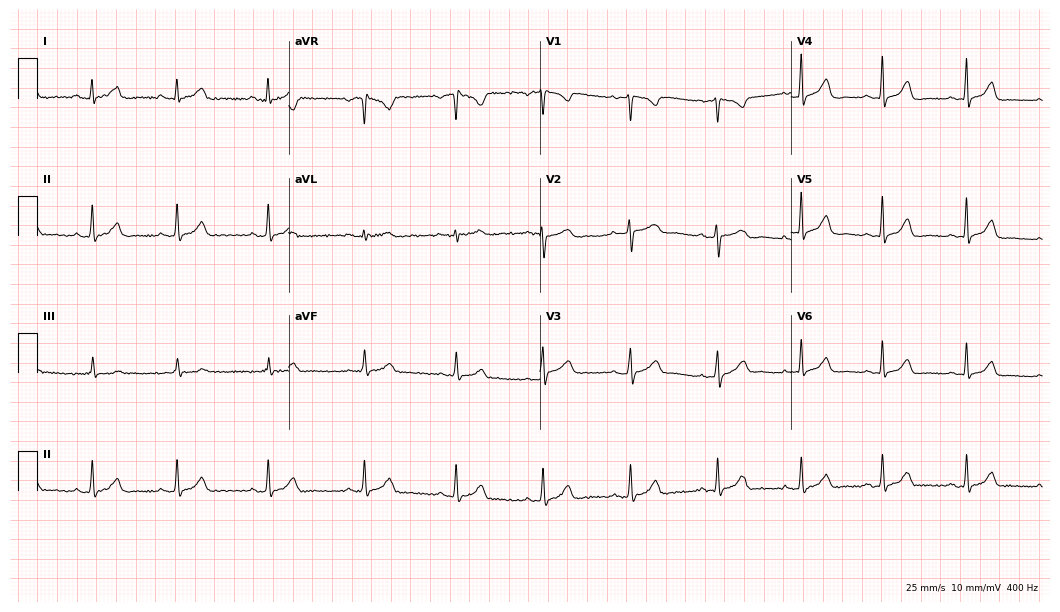
Electrocardiogram (10.2-second recording at 400 Hz), a female, 30 years old. Overall reading on record: normal ECG.